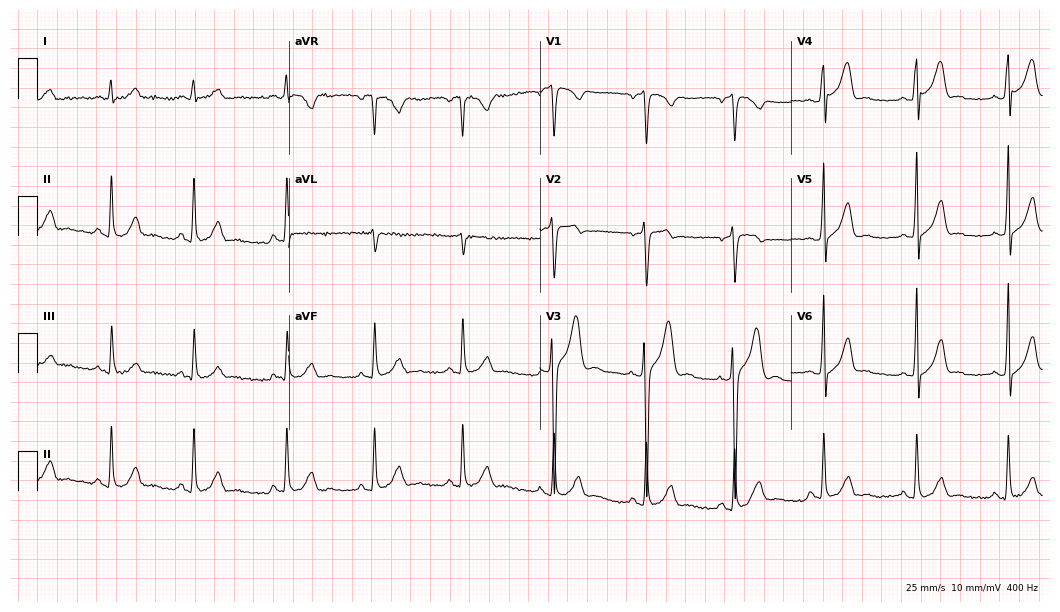
ECG (10.2-second recording at 400 Hz) — a man, 24 years old. Labelled as a normal ECG.